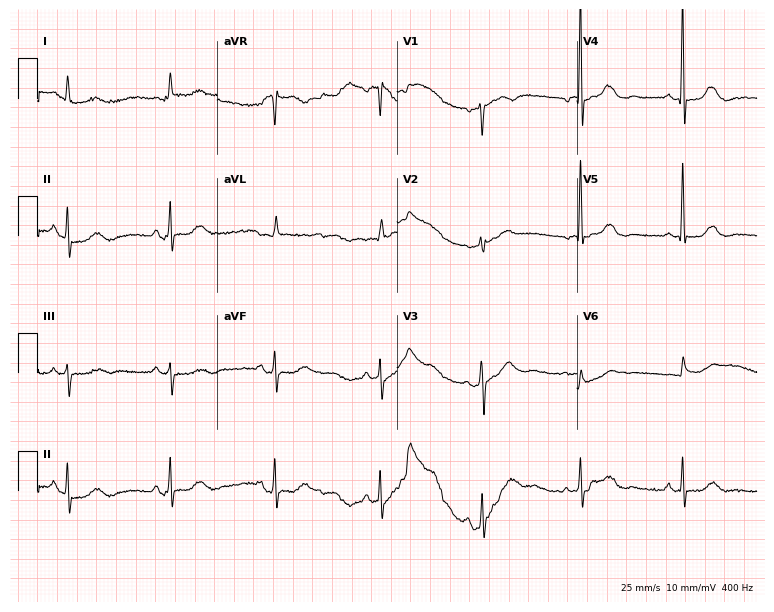
Electrocardiogram, a 62-year-old woman. Of the six screened findings (first-degree AV block, right bundle branch block (RBBB), left bundle branch block (LBBB), sinus bradycardia, atrial fibrillation (AF), sinus tachycardia), none is recorded.